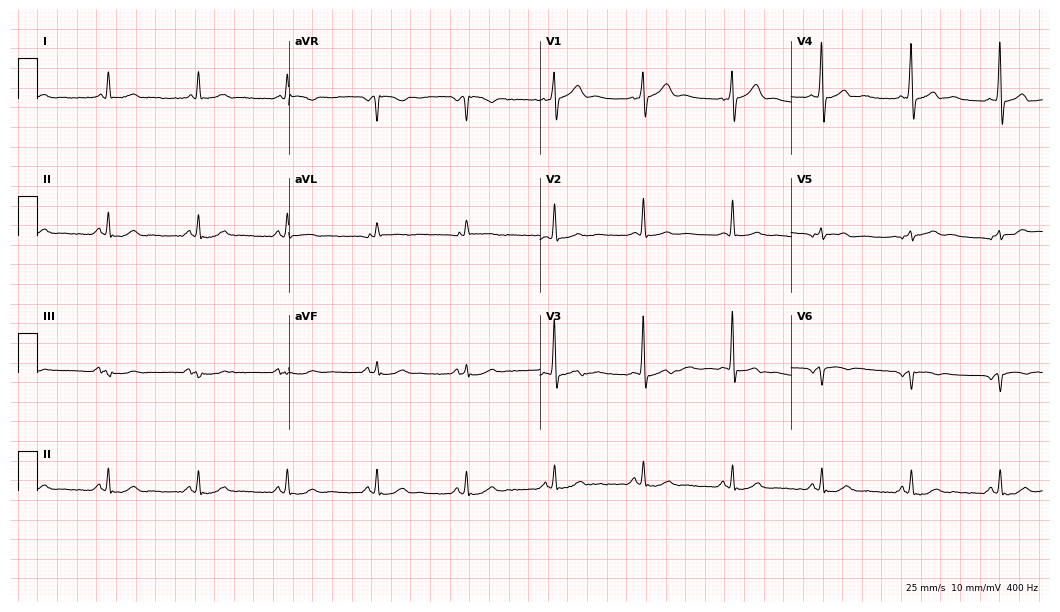
Resting 12-lead electrocardiogram. Patient: a 57-year-old male. Read as a normal ECG.